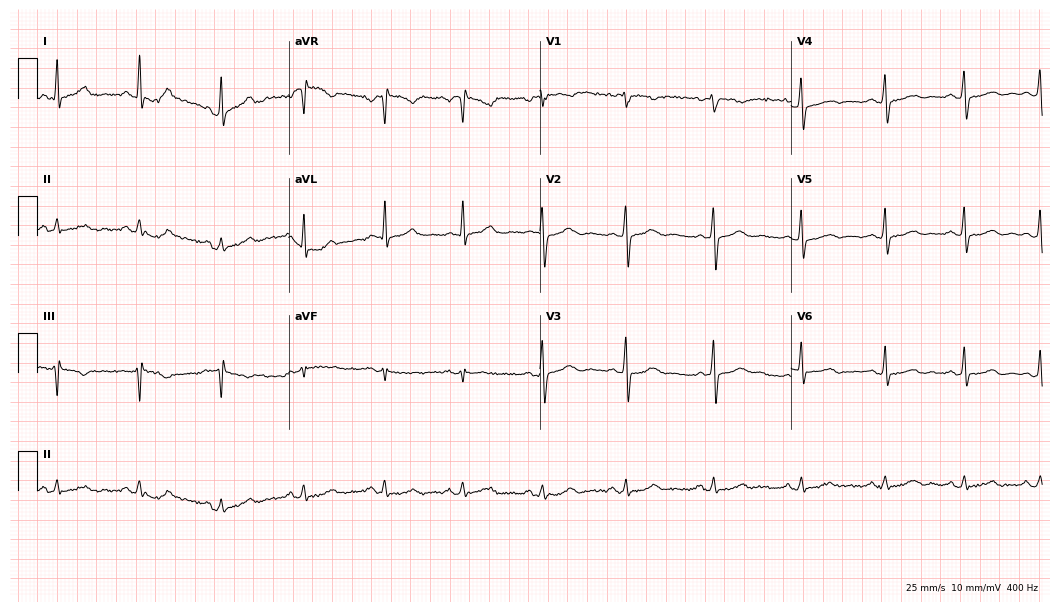
Resting 12-lead electrocardiogram (10.2-second recording at 400 Hz). Patient: a female, 35 years old. Read as a normal ECG.